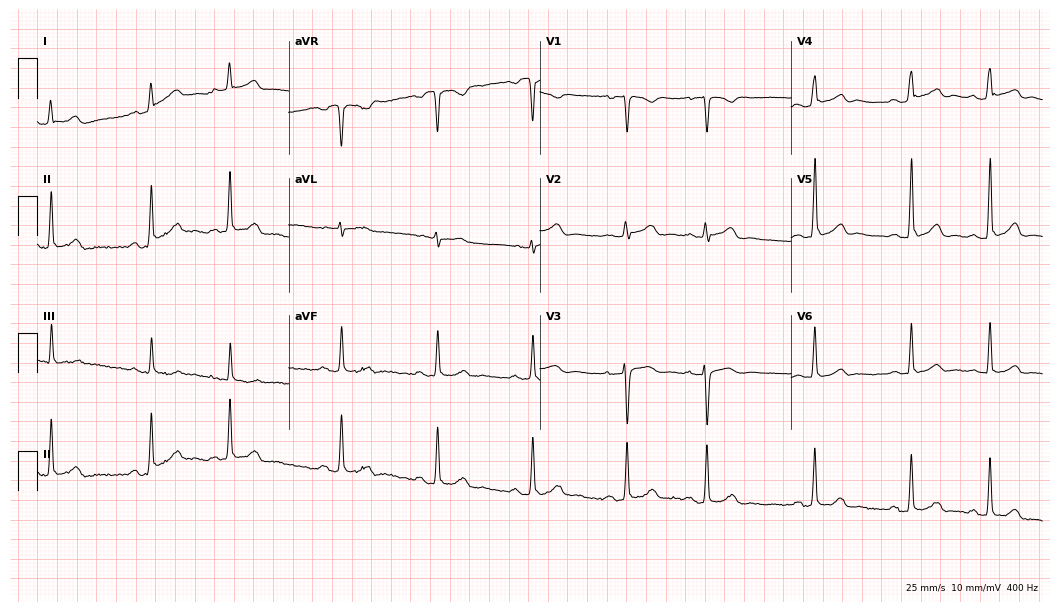
Resting 12-lead electrocardiogram. Patient: a 36-year-old female. Read as a normal ECG.